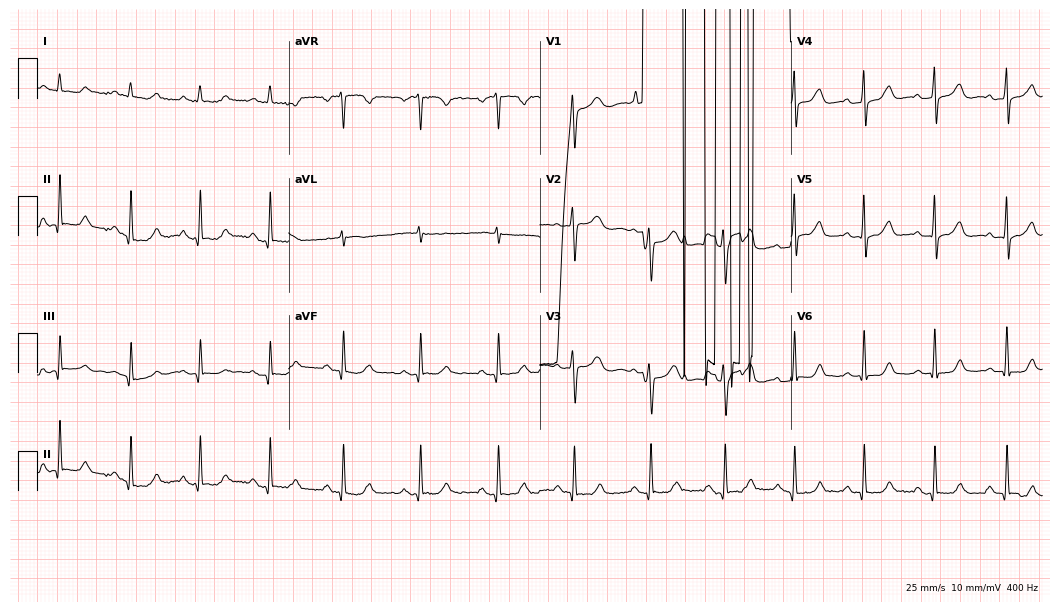
Standard 12-lead ECG recorded from a woman, 41 years old (10.2-second recording at 400 Hz). None of these six findings is recorded: first-degree AV block, right bundle branch block (RBBB), left bundle branch block (LBBB), sinus bradycardia, atrial fibrillation (AF), sinus tachycardia. Other findings, if any, are not listed.